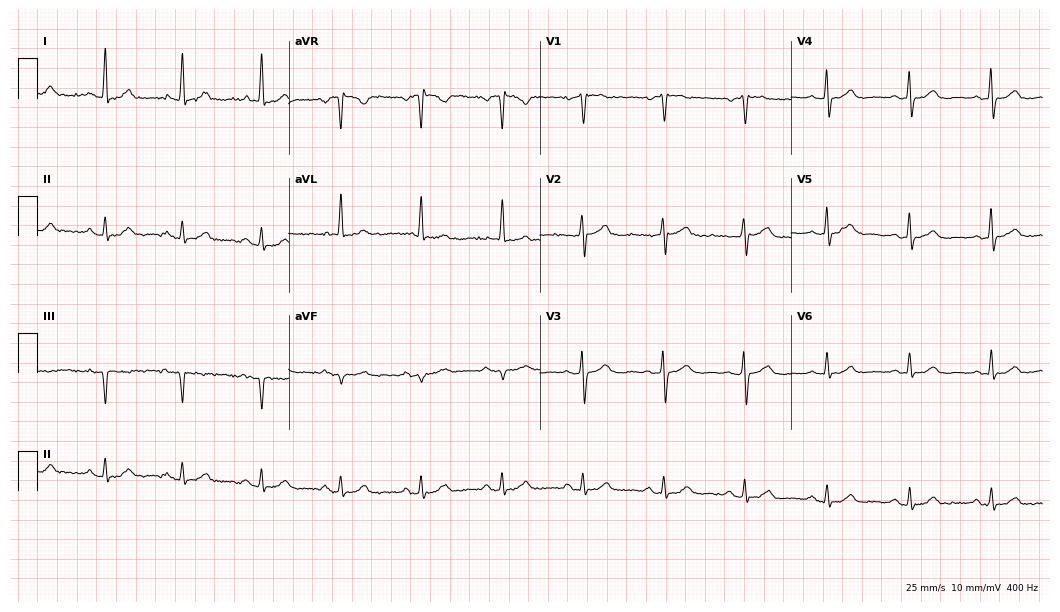
Standard 12-lead ECG recorded from a 64-year-old female patient. None of these six findings is recorded: first-degree AV block, right bundle branch block, left bundle branch block, sinus bradycardia, atrial fibrillation, sinus tachycardia.